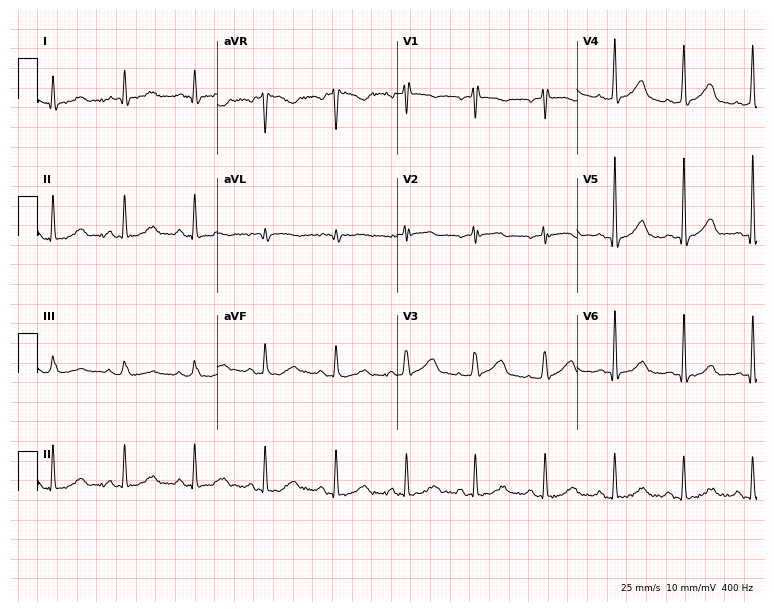
Electrocardiogram, a male patient, 76 years old. Of the six screened findings (first-degree AV block, right bundle branch block, left bundle branch block, sinus bradycardia, atrial fibrillation, sinus tachycardia), none is recorded.